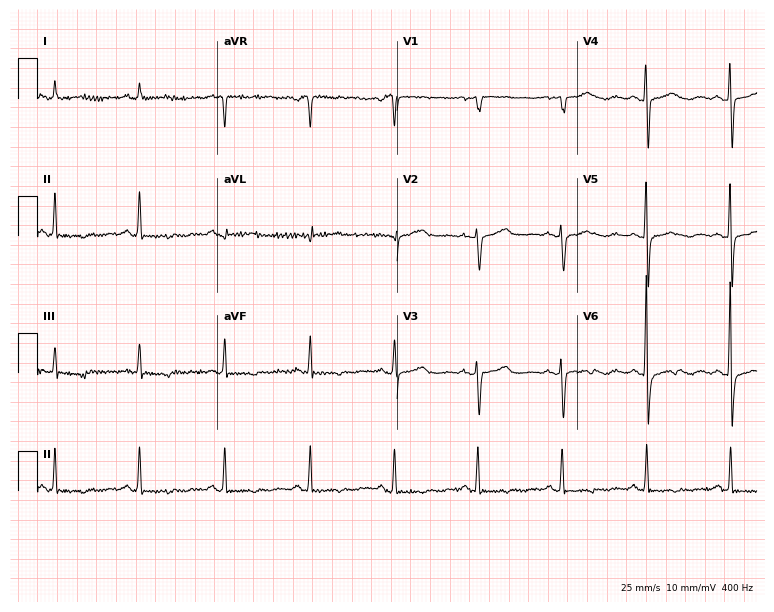
12-lead ECG from a 71-year-old female. No first-degree AV block, right bundle branch block, left bundle branch block, sinus bradycardia, atrial fibrillation or sinus tachycardia recorded for this tracing. Only these six findings were labelled.